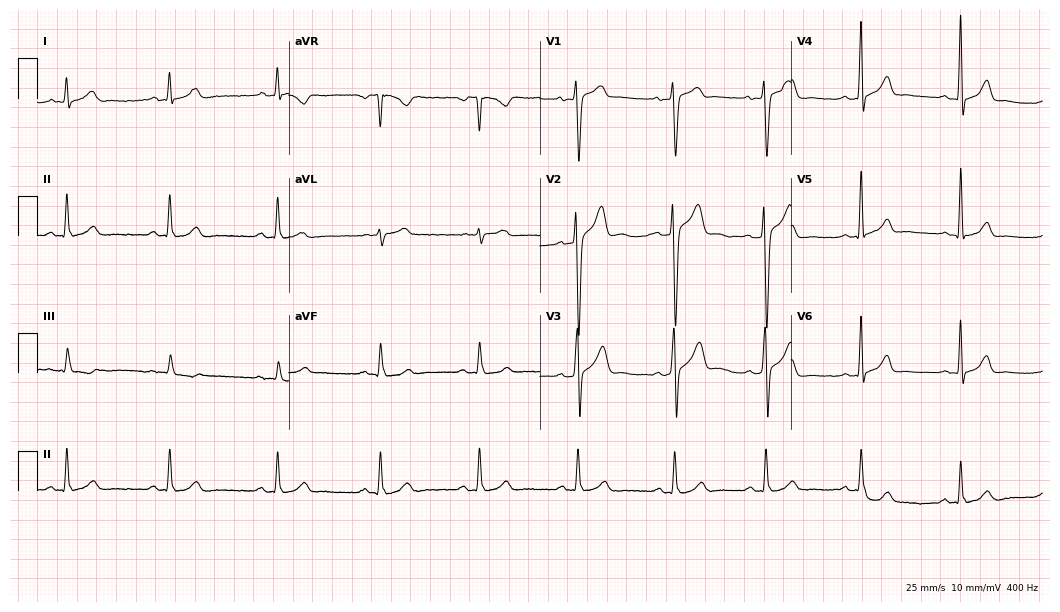
Resting 12-lead electrocardiogram. Patient: a man, 40 years old. Read as a normal ECG.